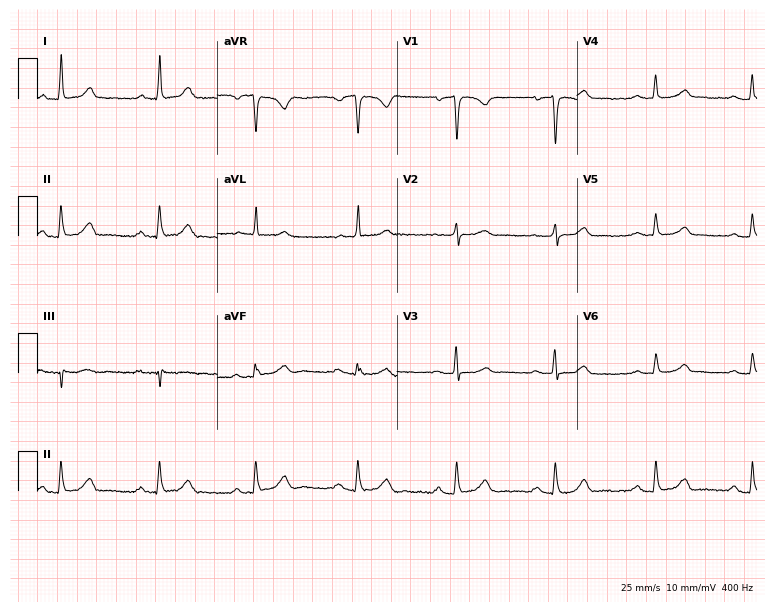
12-lead ECG from a 57-year-old female patient. Recorded interpretation: within normal limits.